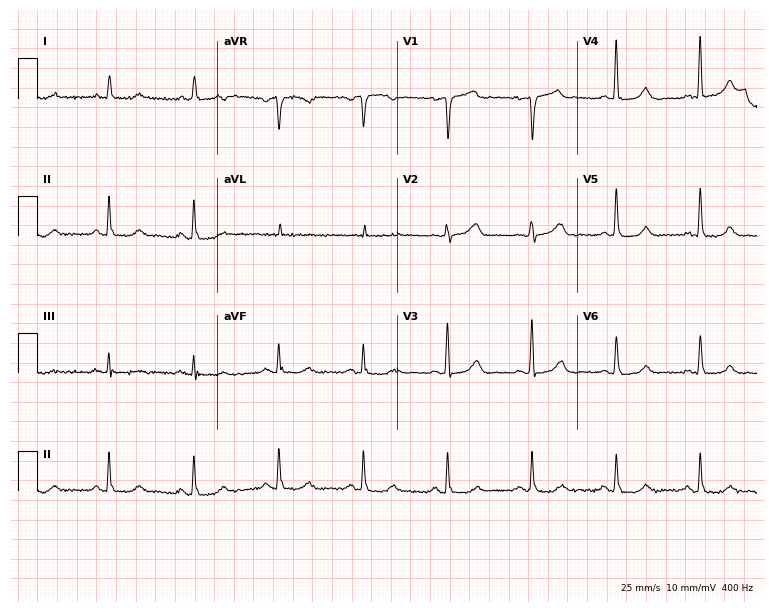
ECG — an 80-year-old man. Screened for six findings — first-degree AV block, right bundle branch block, left bundle branch block, sinus bradycardia, atrial fibrillation, sinus tachycardia — none is recorded.